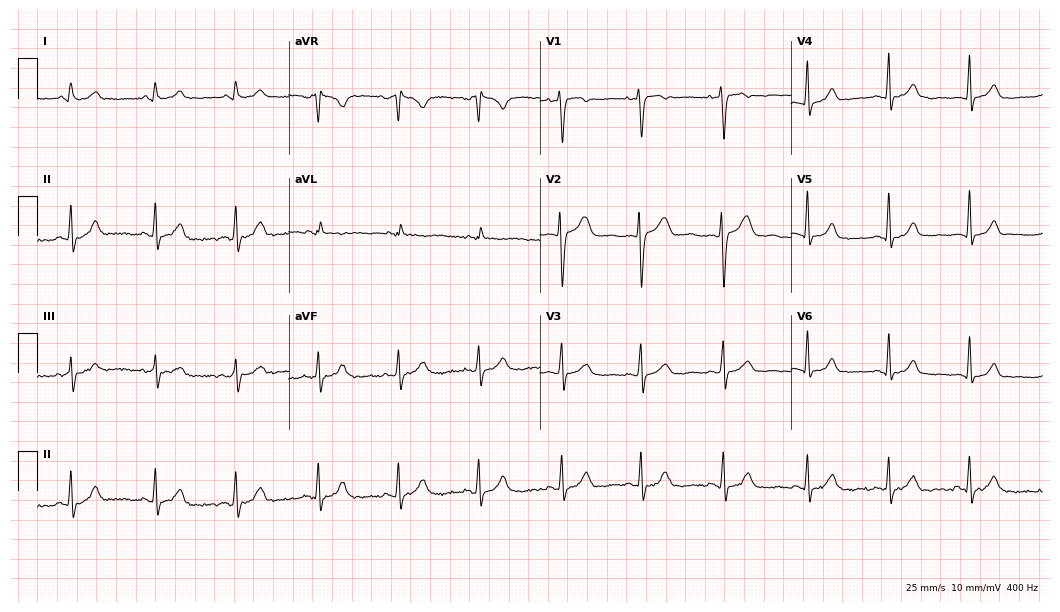
ECG (10.2-second recording at 400 Hz) — a female patient, 30 years old. Screened for six findings — first-degree AV block, right bundle branch block, left bundle branch block, sinus bradycardia, atrial fibrillation, sinus tachycardia — none is recorded. Other findings, if any, are not listed.